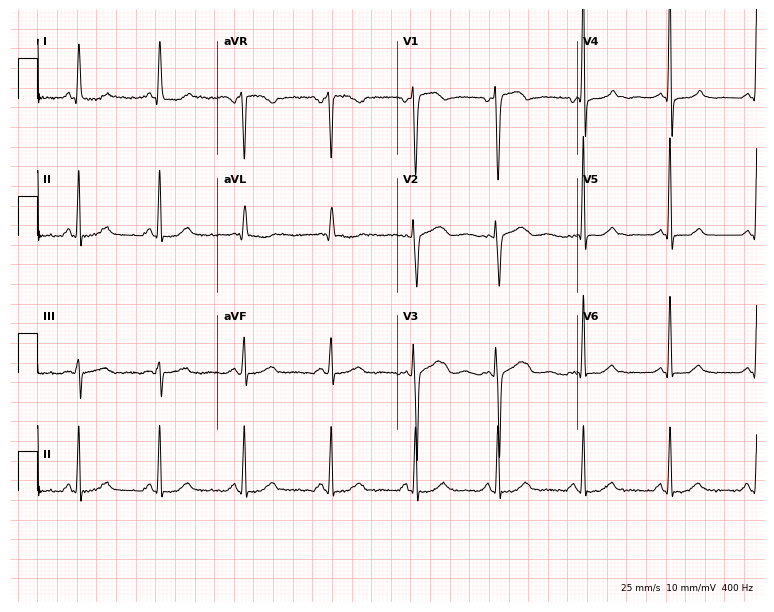
ECG — a 45-year-old female. Labelled as a normal ECG.